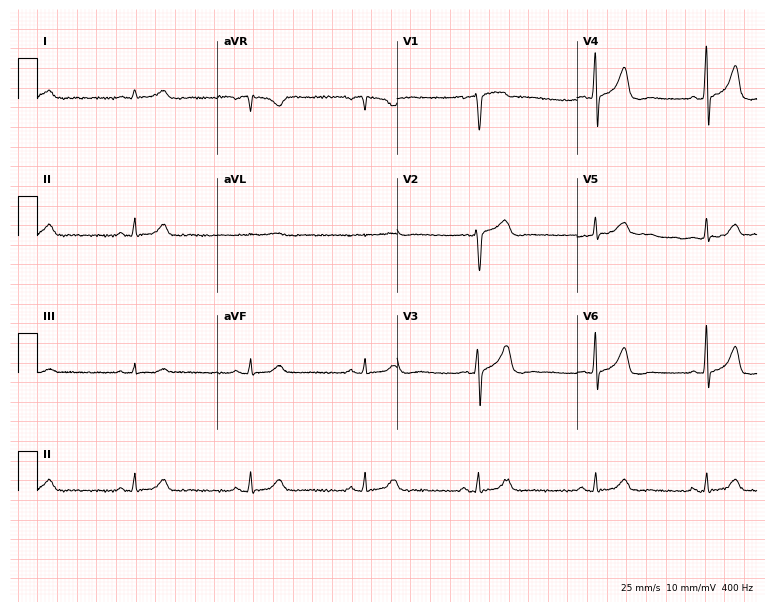
Resting 12-lead electrocardiogram. Patient: a 54-year-old male. Read as a normal ECG.